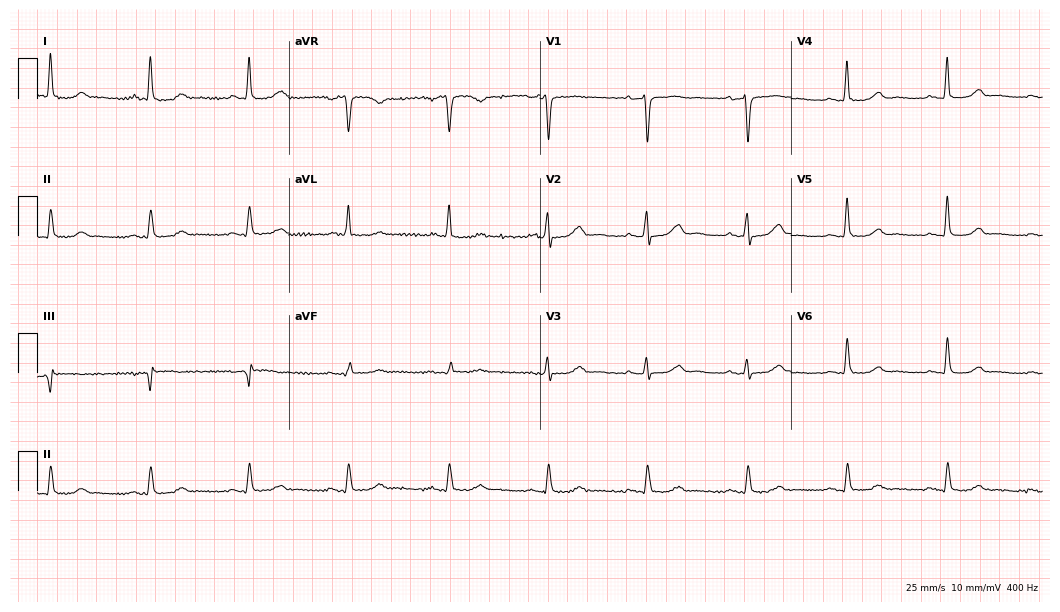
Resting 12-lead electrocardiogram. Patient: a female, 70 years old. Read as a normal ECG.